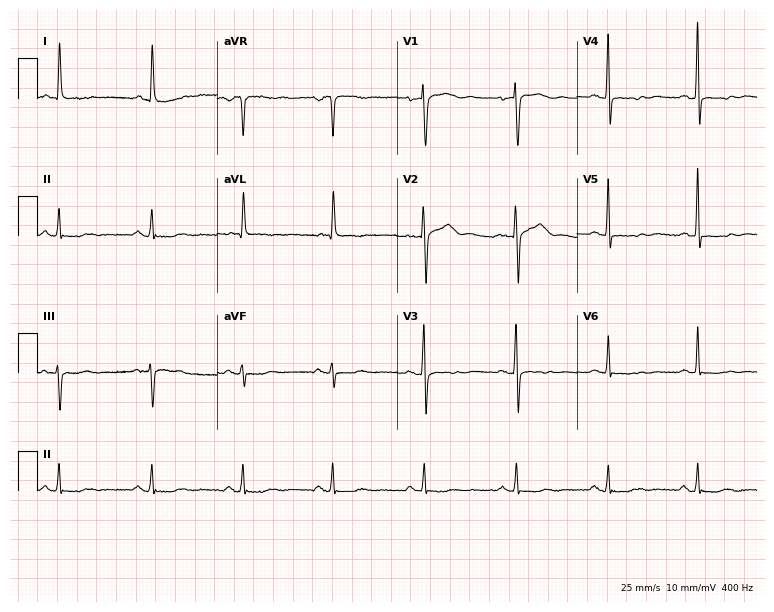
Standard 12-lead ECG recorded from a woman, 79 years old. Read as a normal ECG.